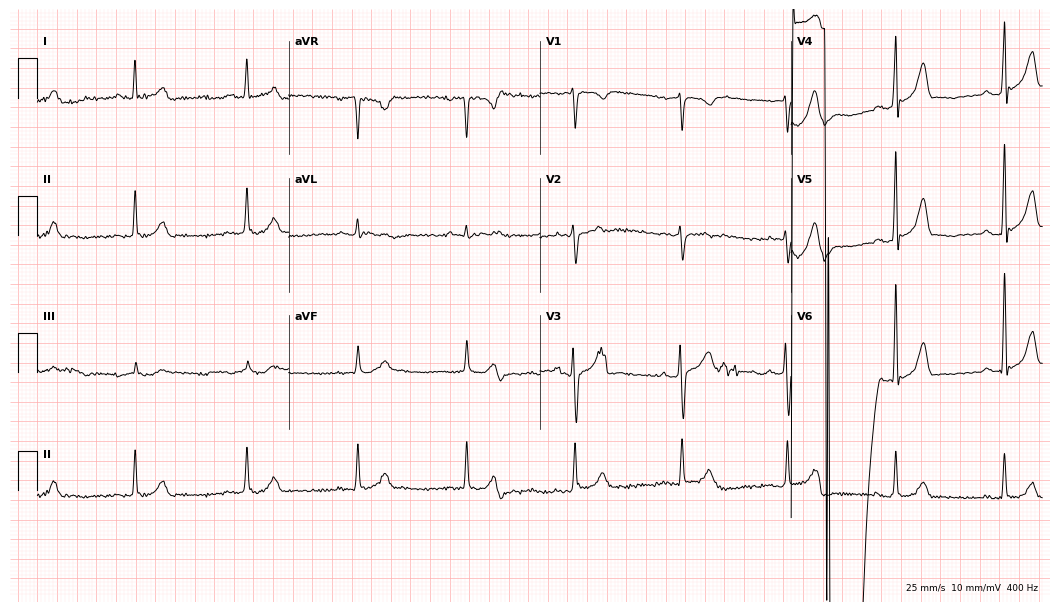
Resting 12-lead electrocardiogram (10.2-second recording at 400 Hz). Patient: a 63-year-old male. None of these six findings is recorded: first-degree AV block, right bundle branch block (RBBB), left bundle branch block (LBBB), sinus bradycardia, atrial fibrillation (AF), sinus tachycardia. Findings outside these six are not listed.